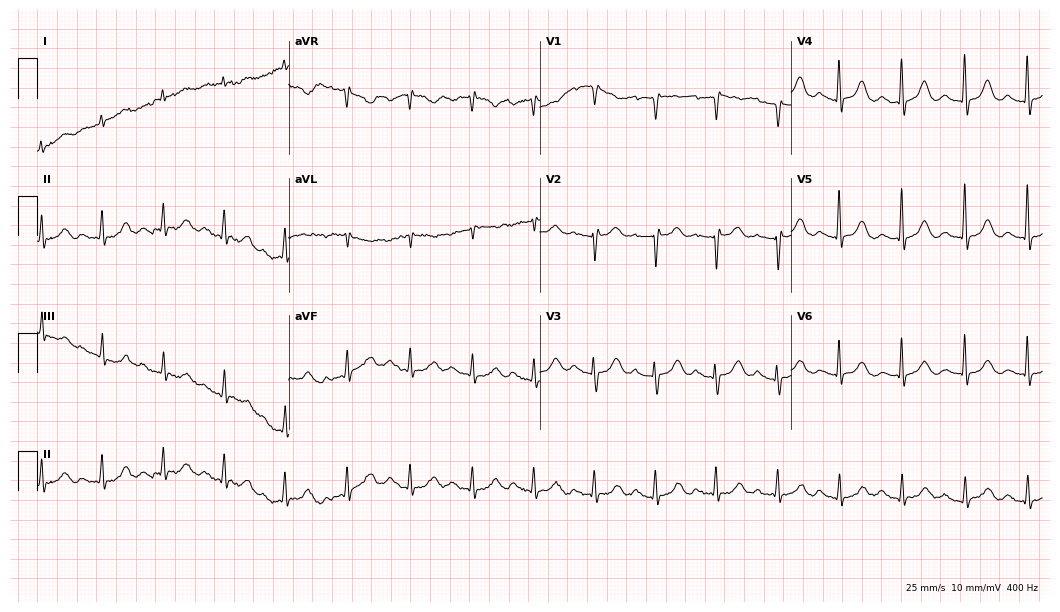
12-lead ECG from an 82-year-old male (10.2-second recording at 400 Hz). No first-degree AV block, right bundle branch block (RBBB), left bundle branch block (LBBB), sinus bradycardia, atrial fibrillation (AF) or sinus tachycardia recorded for this tracing.